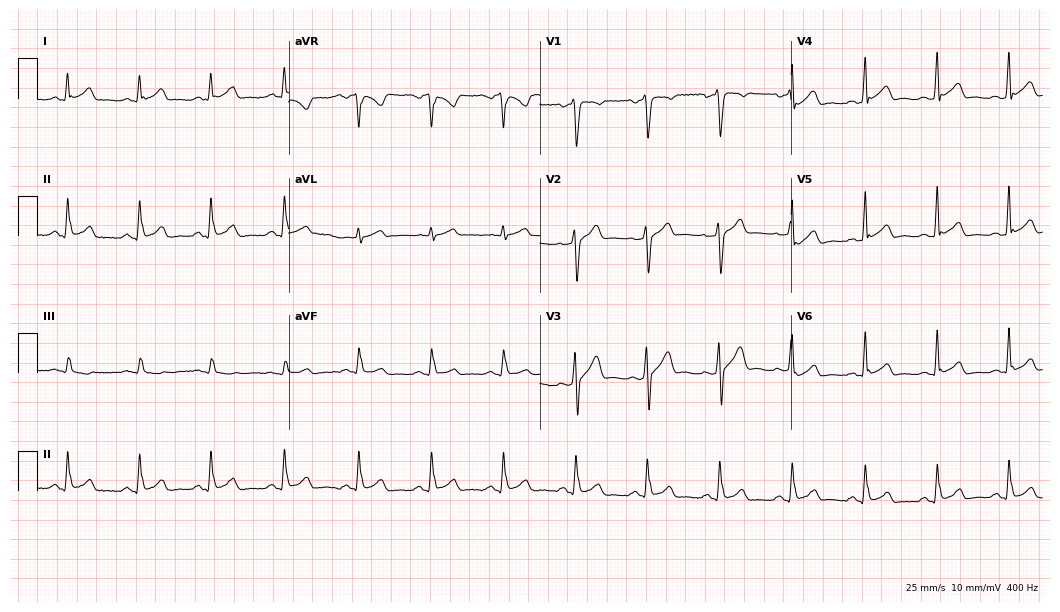
12-lead ECG from a 37-year-old man. Recorded interpretation: within normal limits.